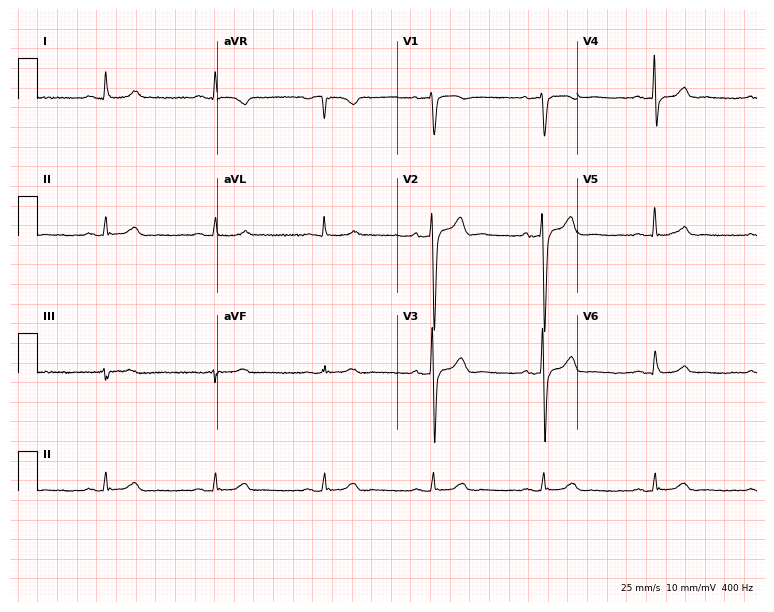
Electrocardiogram (7.3-second recording at 400 Hz), a man, 56 years old. Overall reading on record: normal ECG.